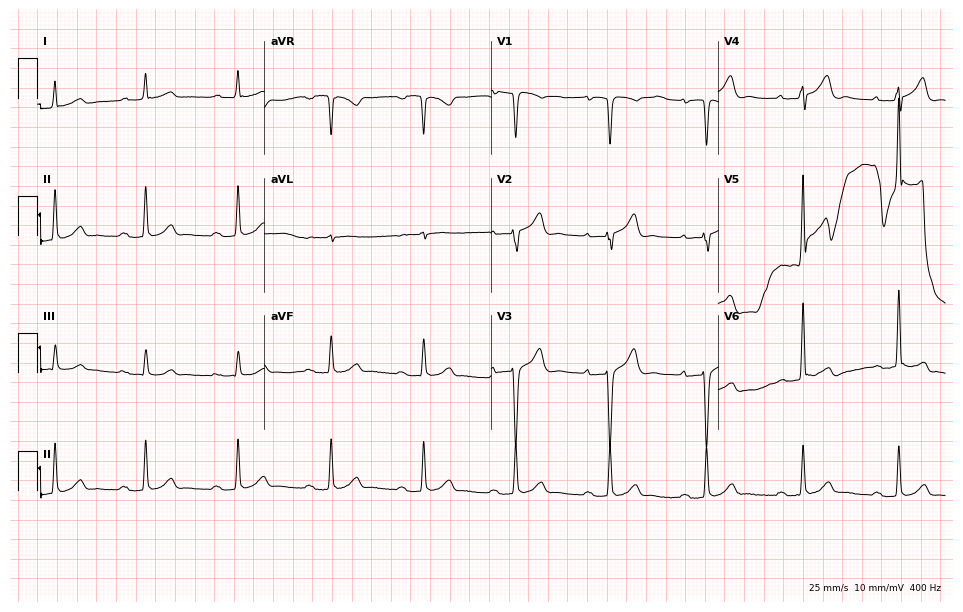
12-lead ECG from a 71-year-old man (9.3-second recording at 400 Hz). No first-degree AV block, right bundle branch block (RBBB), left bundle branch block (LBBB), sinus bradycardia, atrial fibrillation (AF) or sinus tachycardia recorded for this tracing.